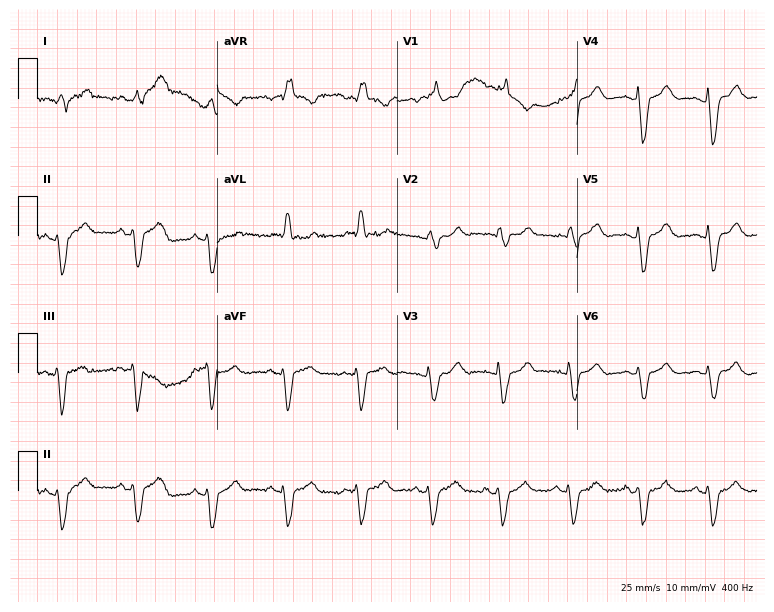
12-lead ECG from a 77-year-old male. Screened for six findings — first-degree AV block, right bundle branch block, left bundle branch block, sinus bradycardia, atrial fibrillation, sinus tachycardia — none is recorded. Findings outside these six are not listed.